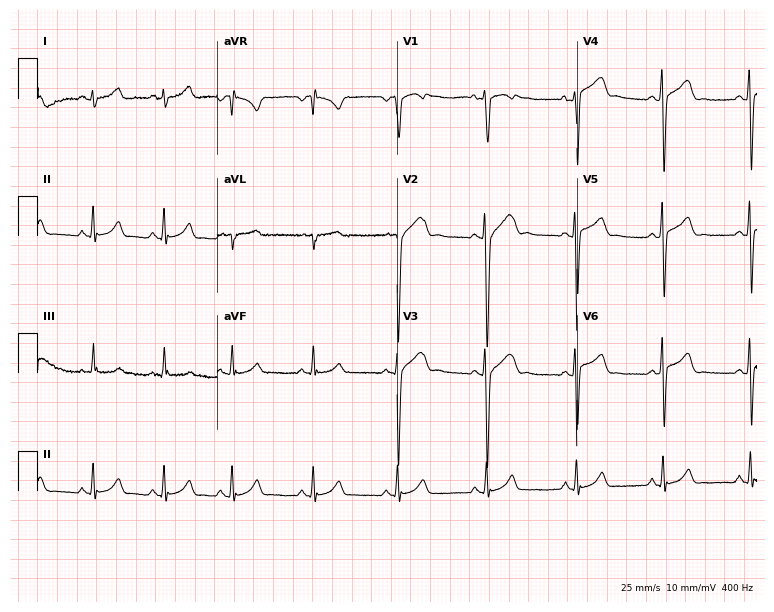
12-lead ECG from a male patient, 20 years old (7.3-second recording at 400 Hz). No first-degree AV block, right bundle branch block, left bundle branch block, sinus bradycardia, atrial fibrillation or sinus tachycardia recorded for this tracing.